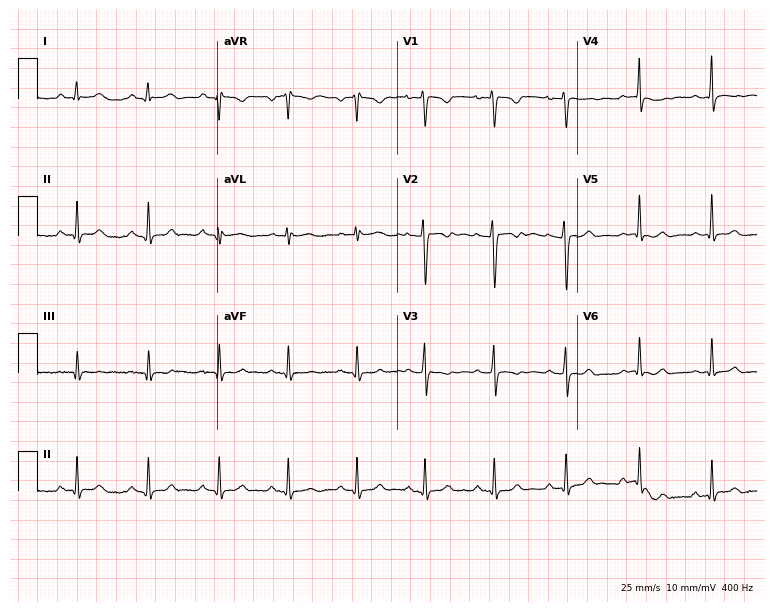
Standard 12-lead ECG recorded from a woman, 28 years old. None of these six findings is recorded: first-degree AV block, right bundle branch block (RBBB), left bundle branch block (LBBB), sinus bradycardia, atrial fibrillation (AF), sinus tachycardia.